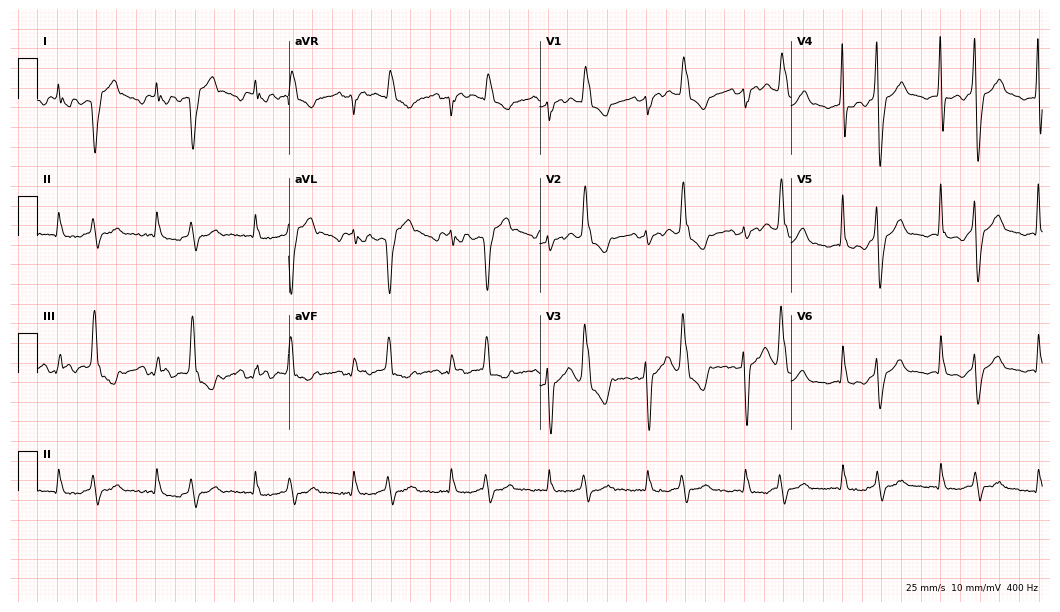
Standard 12-lead ECG recorded from a 71-year-old male patient. None of these six findings is recorded: first-degree AV block, right bundle branch block, left bundle branch block, sinus bradycardia, atrial fibrillation, sinus tachycardia.